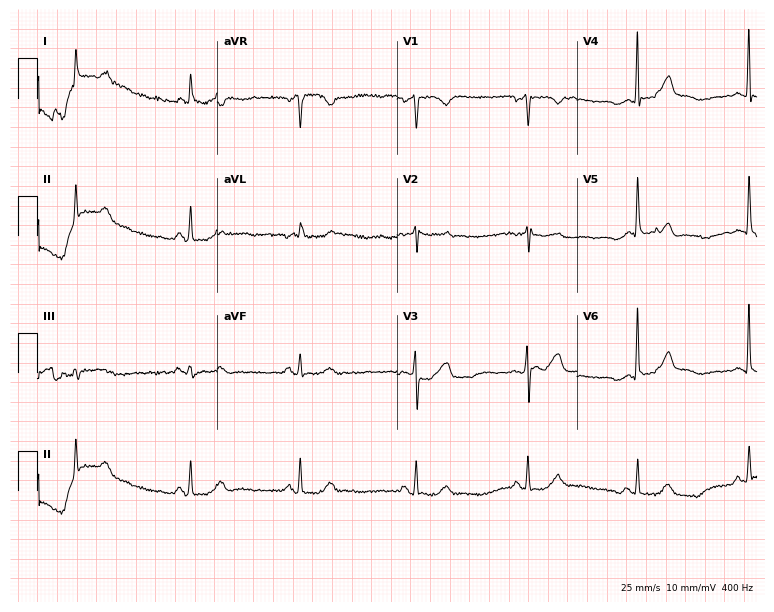
Resting 12-lead electrocardiogram. Patient: a 58-year-old female. None of these six findings is recorded: first-degree AV block, right bundle branch block, left bundle branch block, sinus bradycardia, atrial fibrillation, sinus tachycardia.